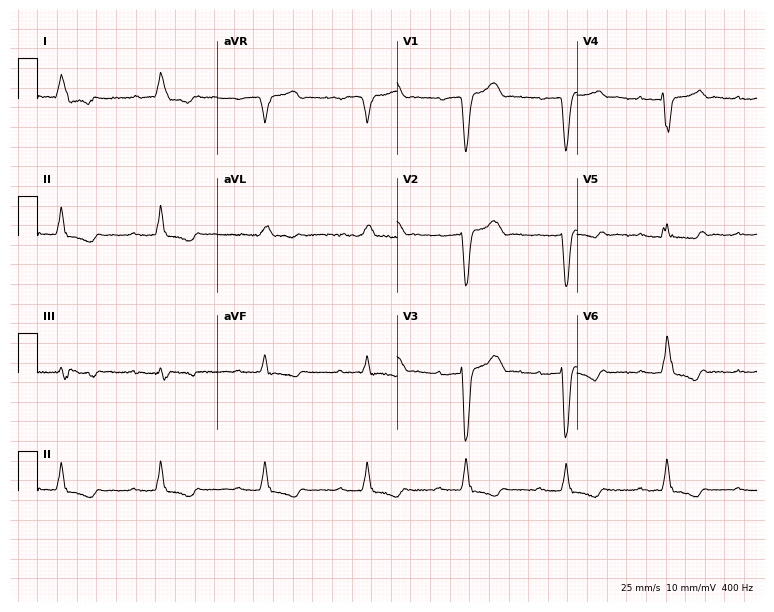
12-lead ECG from a 77-year-old male. Shows first-degree AV block, left bundle branch block.